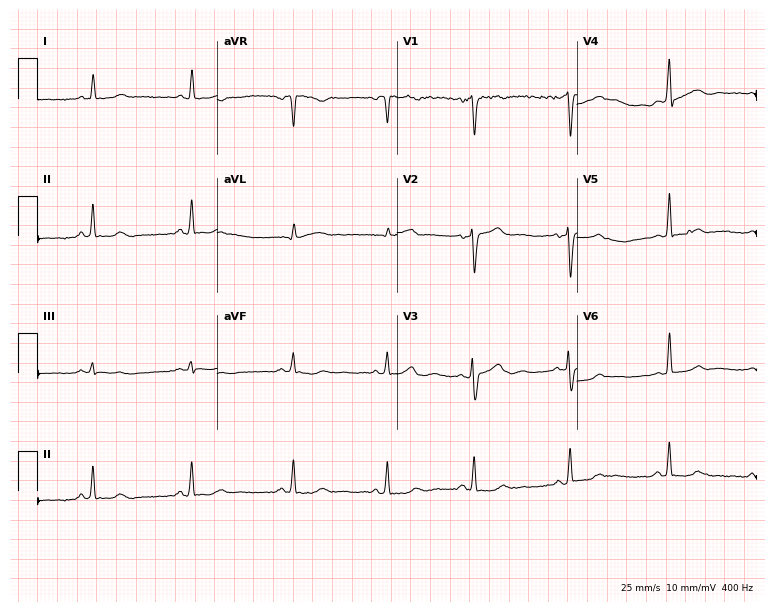
Standard 12-lead ECG recorded from a 46-year-old woman. None of these six findings is recorded: first-degree AV block, right bundle branch block, left bundle branch block, sinus bradycardia, atrial fibrillation, sinus tachycardia.